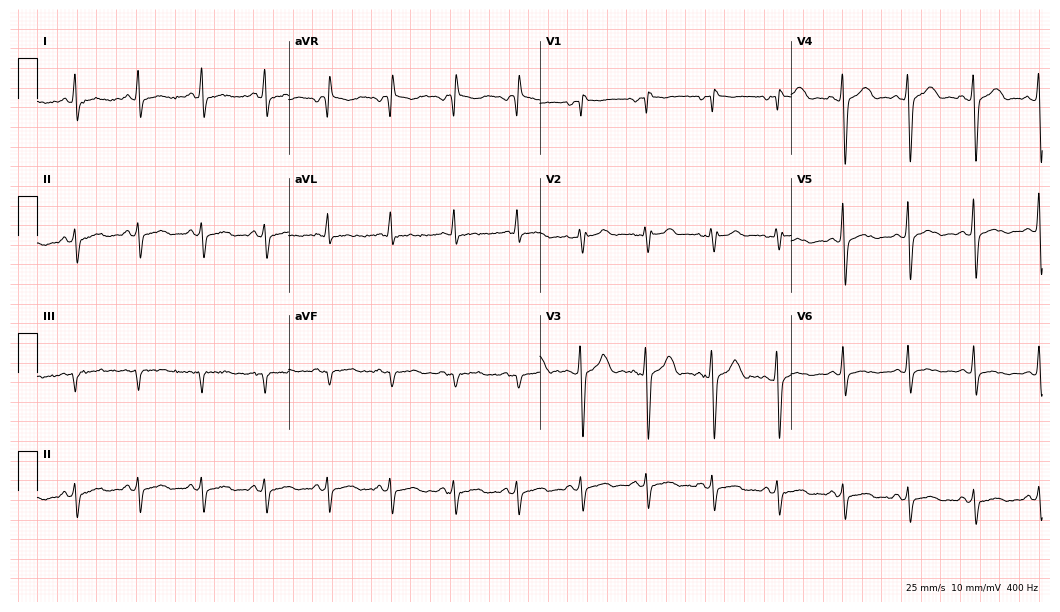
ECG — a 35-year-old male patient. Screened for six findings — first-degree AV block, right bundle branch block, left bundle branch block, sinus bradycardia, atrial fibrillation, sinus tachycardia — none is recorded.